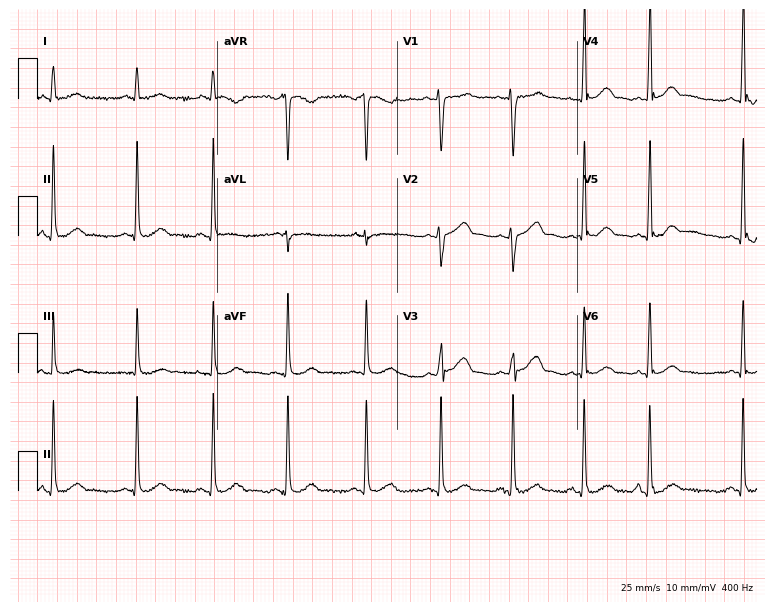
Electrocardiogram (7.3-second recording at 400 Hz), a female, 24 years old. Of the six screened findings (first-degree AV block, right bundle branch block, left bundle branch block, sinus bradycardia, atrial fibrillation, sinus tachycardia), none is recorded. Only these six findings were labelled.